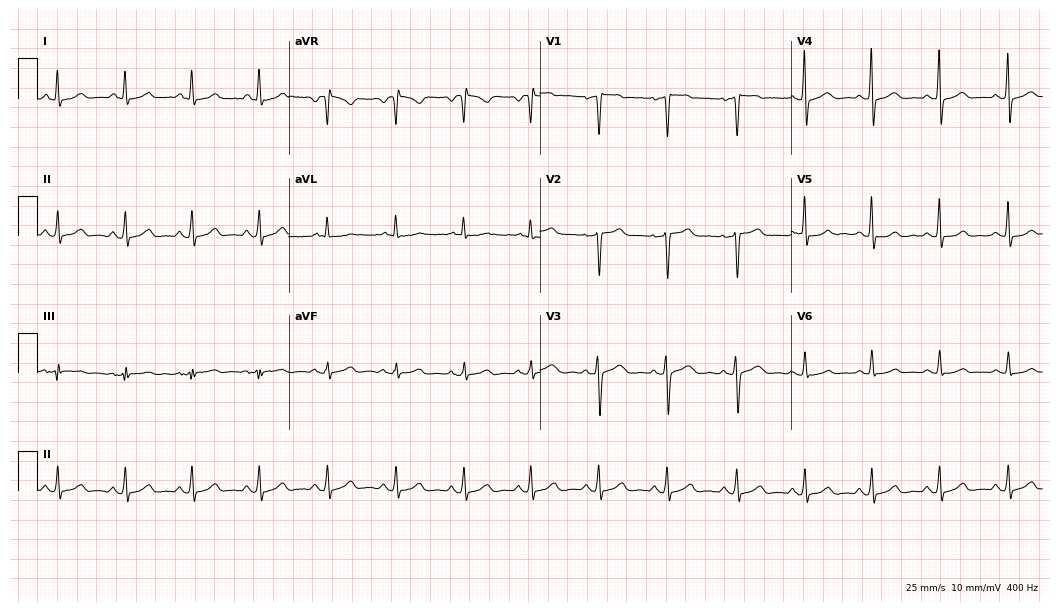
ECG (10.2-second recording at 400 Hz) — a 53-year-old female patient. Labelled as a normal ECG.